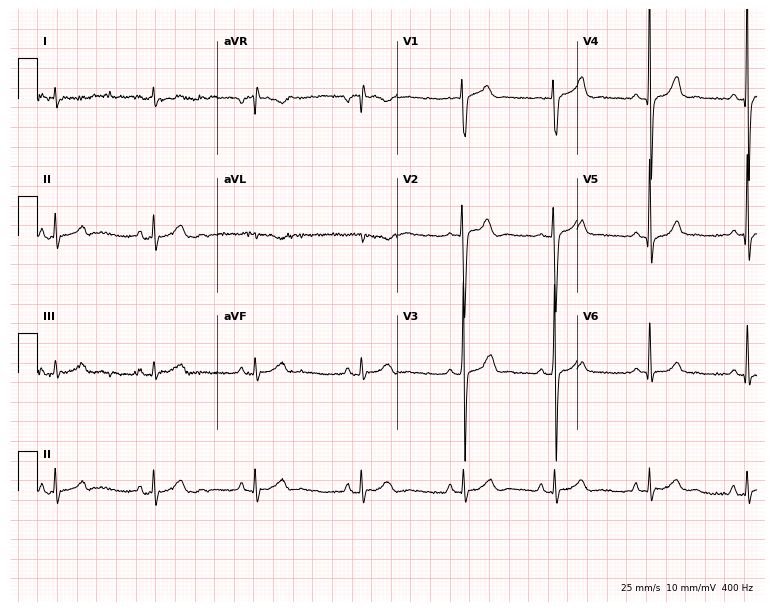
Resting 12-lead electrocardiogram (7.3-second recording at 400 Hz). Patient: an 18-year-old male. None of these six findings is recorded: first-degree AV block, right bundle branch block (RBBB), left bundle branch block (LBBB), sinus bradycardia, atrial fibrillation (AF), sinus tachycardia.